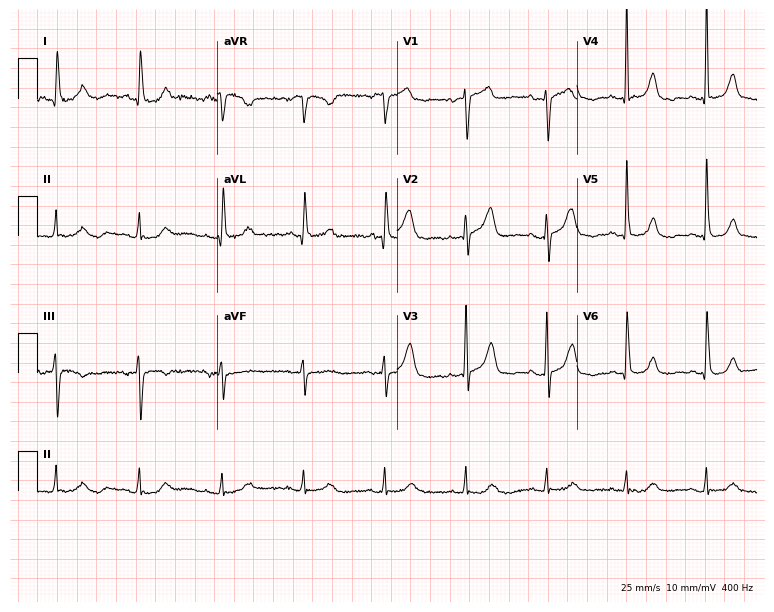
12-lead ECG from an 80-year-old female (7.3-second recording at 400 Hz). No first-degree AV block, right bundle branch block (RBBB), left bundle branch block (LBBB), sinus bradycardia, atrial fibrillation (AF) or sinus tachycardia recorded for this tracing. Only these six findings were labelled.